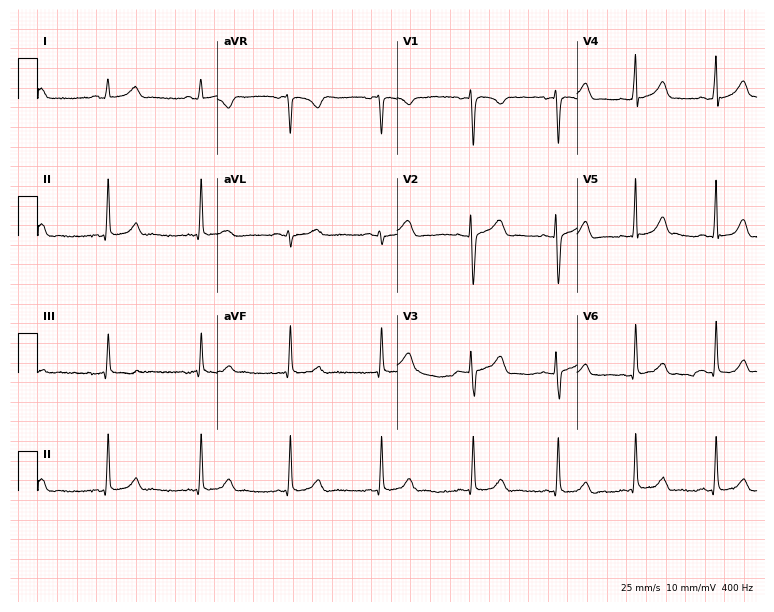
Electrocardiogram (7.3-second recording at 400 Hz), a woman, 22 years old. Overall reading on record: normal ECG.